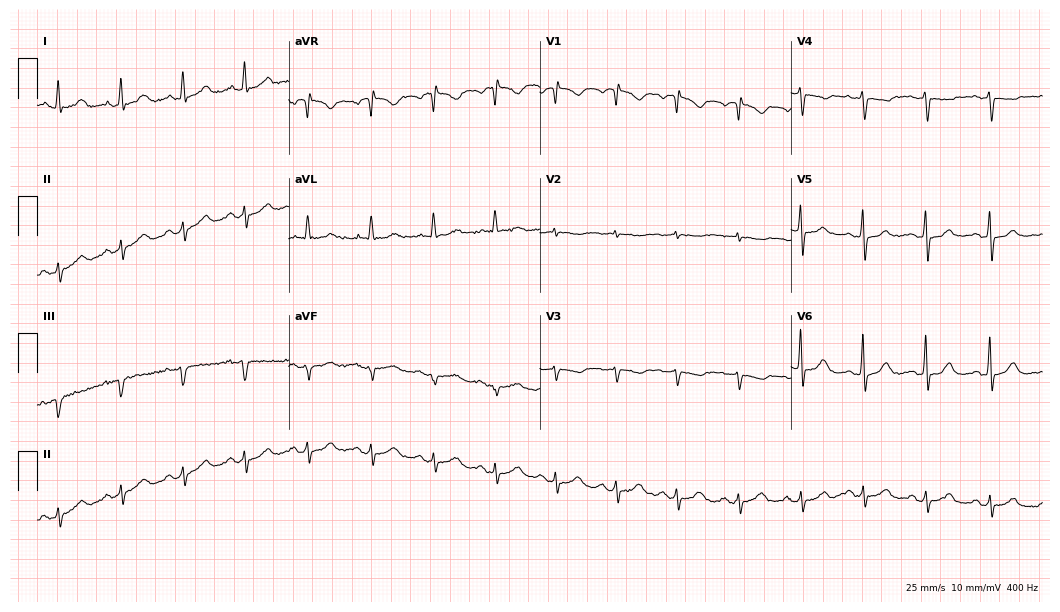
12-lead ECG (10.2-second recording at 400 Hz) from a female, 67 years old. Screened for six findings — first-degree AV block, right bundle branch block (RBBB), left bundle branch block (LBBB), sinus bradycardia, atrial fibrillation (AF), sinus tachycardia — none is recorded.